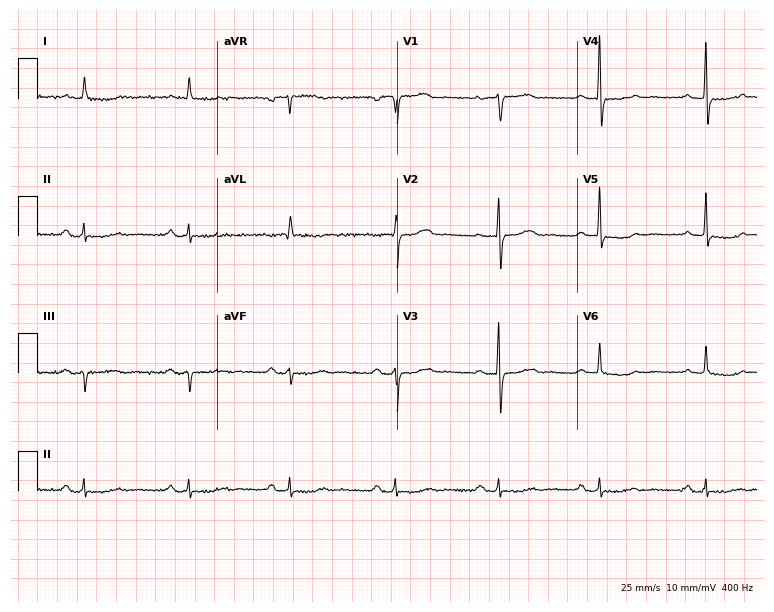
Resting 12-lead electrocardiogram (7.3-second recording at 400 Hz). Patient: a female, 71 years old. None of these six findings is recorded: first-degree AV block, right bundle branch block, left bundle branch block, sinus bradycardia, atrial fibrillation, sinus tachycardia.